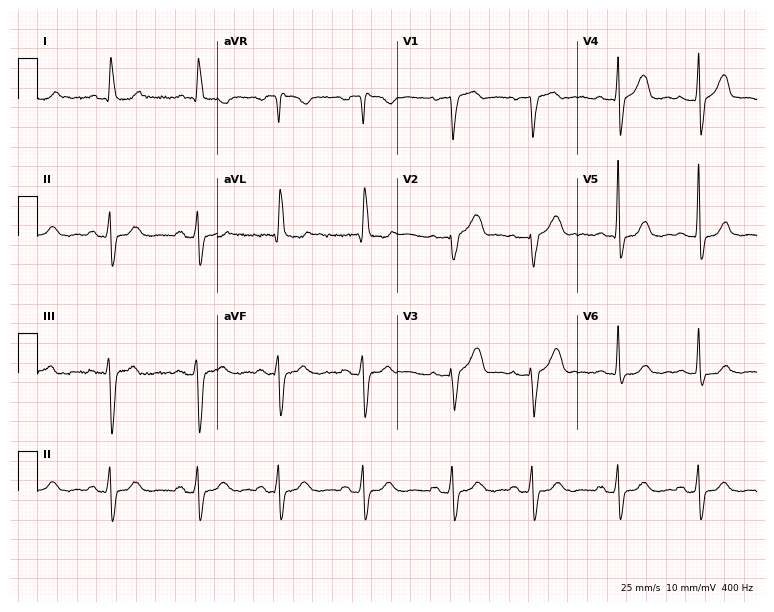
12-lead ECG from a woman, 76 years old. No first-degree AV block, right bundle branch block, left bundle branch block, sinus bradycardia, atrial fibrillation or sinus tachycardia recorded for this tracing.